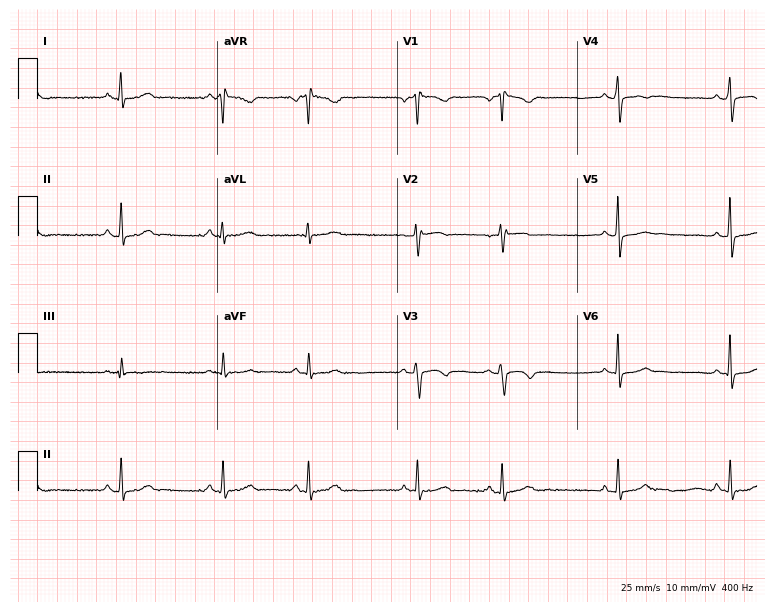
12-lead ECG from a female, 23 years old. No first-degree AV block, right bundle branch block, left bundle branch block, sinus bradycardia, atrial fibrillation or sinus tachycardia recorded for this tracing. Other findings, if any, are not listed.